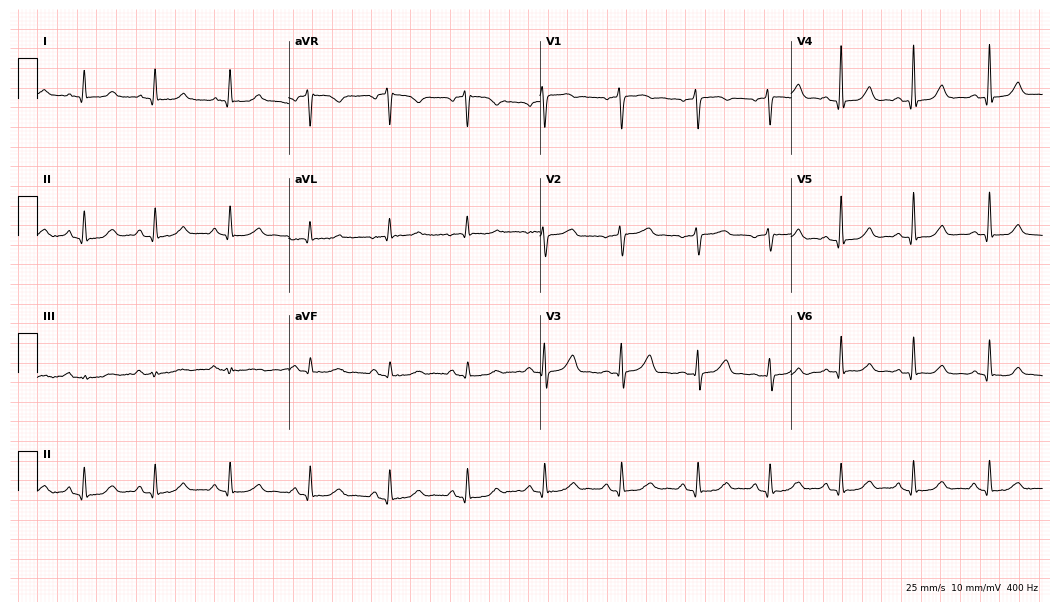
Electrocardiogram, a woman, 46 years old. Of the six screened findings (first-degree AV block, right bundle branch block (RBBB), left bundle branch block (LBBB), sinus bradycardia, atrial fibrillation (AF), sinus tachycardia), none is recorded. Only these six findings were labelled.